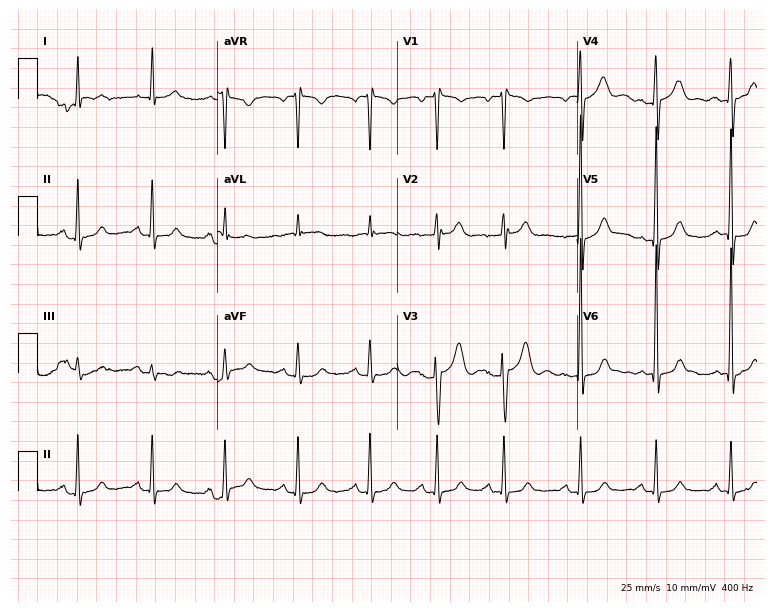
ECG (7.3-second recording at 400 Hz) — a male, 78 years old. Screened for six findings — first-degree AV block, right bundle branch block, left bundle branch block, sinus bradycardia, atrial fibrillation, sinus tachycardia — none is recorded. Findings outside these six are not listed.